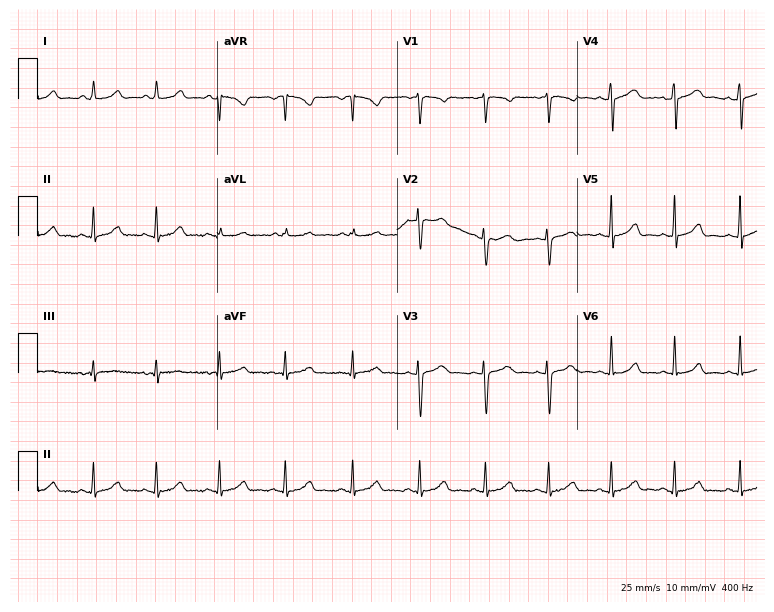
ECG — a 19-year-old female patient. Labelled as a normal ECG.